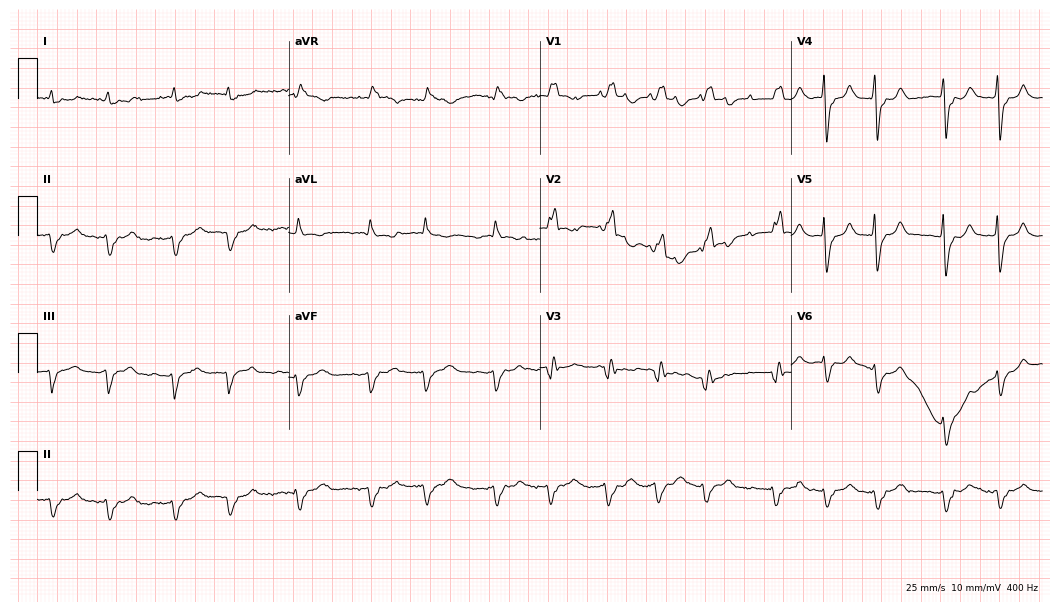
ECG (10.2-second recording at 400 Hz) — a woman, 83 years old. Findings include right bundle branch block.